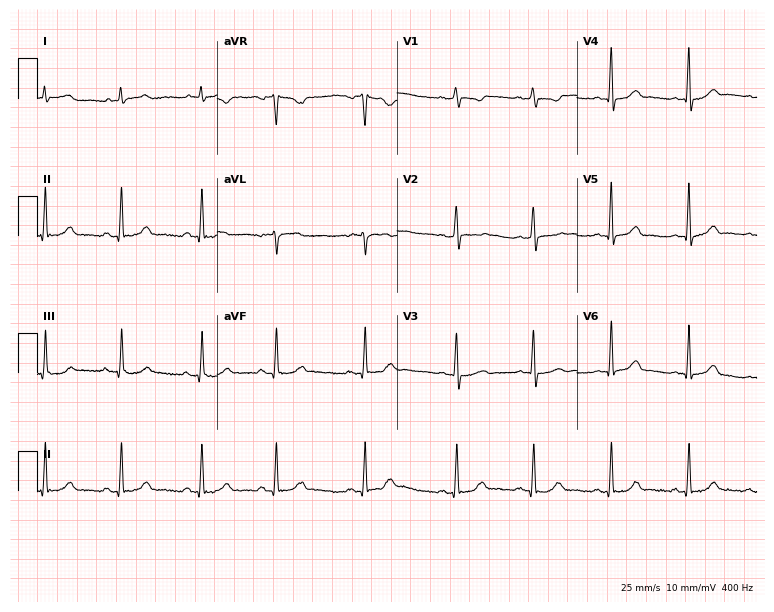
12-lead ECG from a 26-year-old woman. Recorded interpretation: within normal limits.